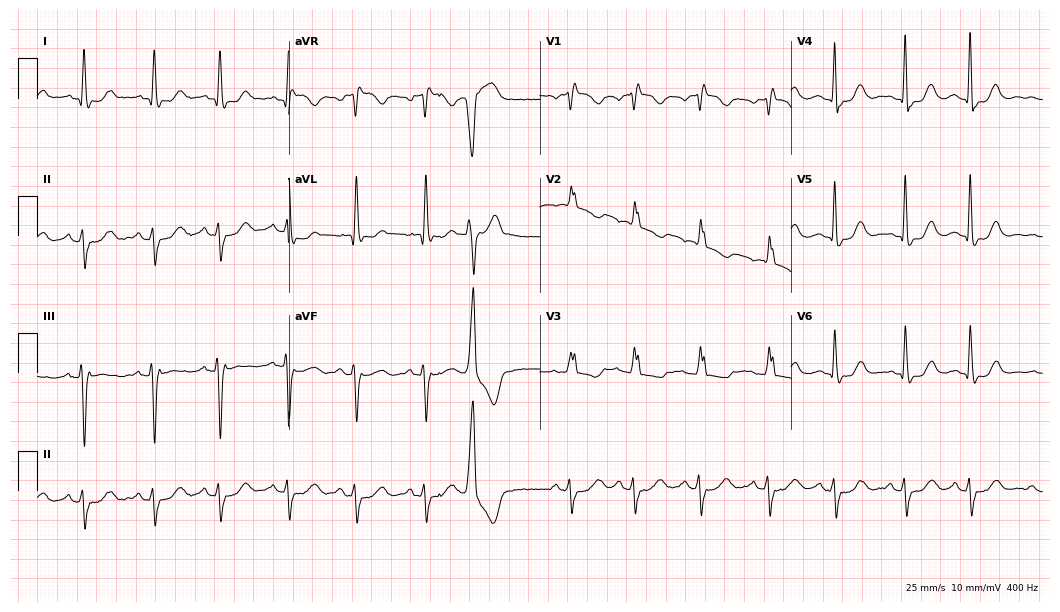
12-lead ECG from an 82-year-old female patient. Screened for six findings — first-degree AV block, right bundle branch block, left bundle branch block, sinus bradycardia, atrial fibrillation, sinus tachycardia — none is recorded.